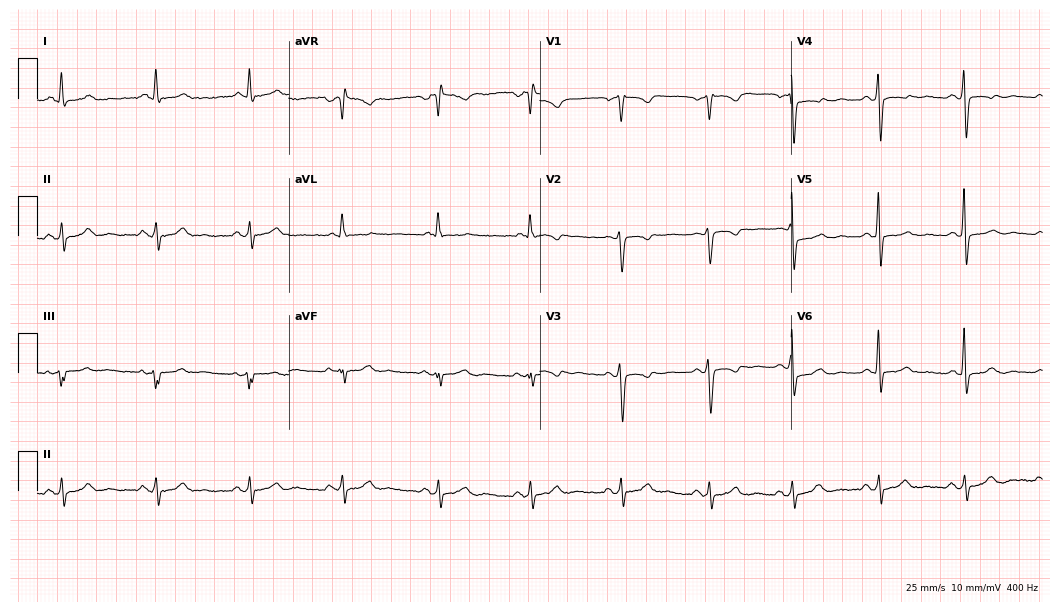
Resting 12-lead electrocardiogram (10.2-second recording at 400 Hz). Patient: a woman, 50 years old. None of these six findings is recorded: first-degree AV block, right bundle branch block (RBBB), left bundle branch block (LBBB), sinus bradycardia, atrial fibrillation (AF), sinus tachycardia. Findings outside these six are not listed.